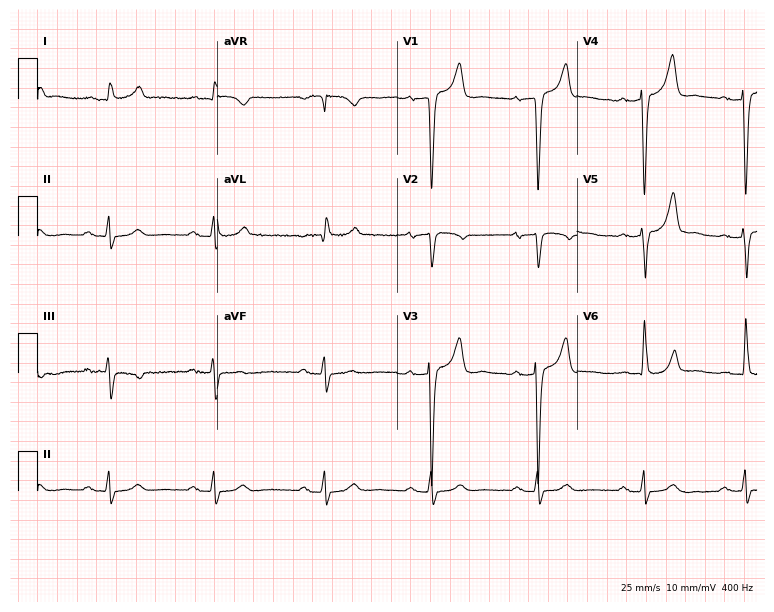
Resting 12-lead electrocardiogram. Patient: a male, 65 years old. None of these six findings is recorded: first-degree AV block, right bundle branch block (RBBB), left bundle branch block (LBBB), sinus bradycardia, atrial fibrillation (AF), sinus tachycardia. Only these six findings were labelled.